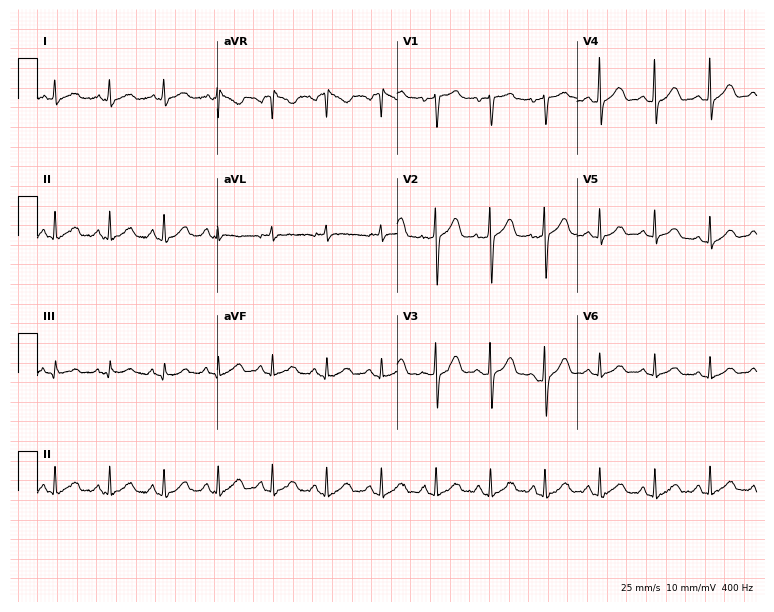
12-lead ECG (7.3-second recording at 400 Hz) from a female, 52 years old. Findings include sinus tachycardia (a sinus rate of 100 beats per minute or more).